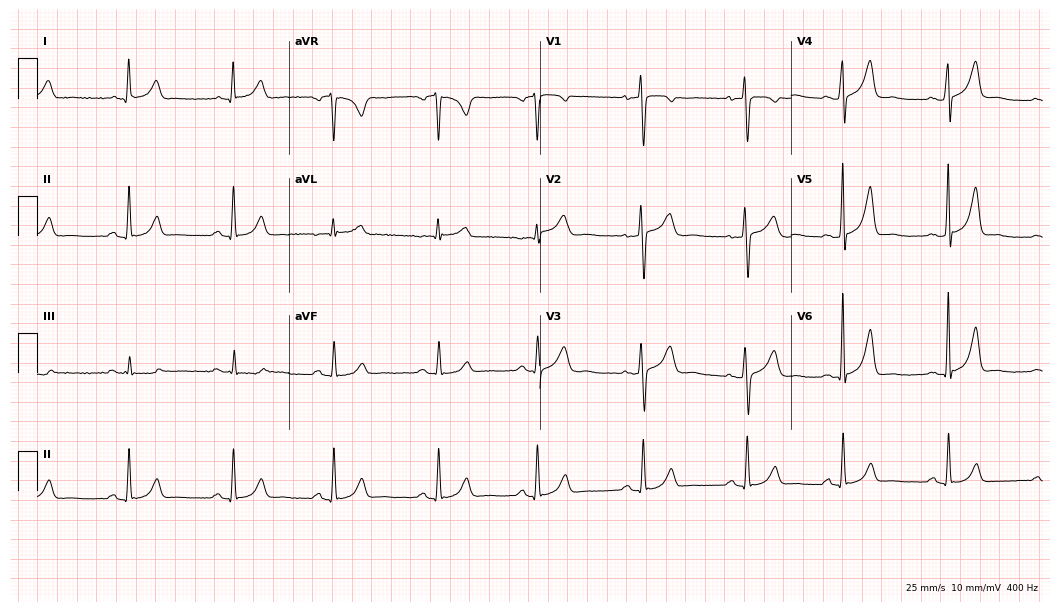
12-lead ECG from a woman, 49 years old (10.2-second recording at 400 Hz). No first-degree AV block, right bundle branch block, left bundle branch block, sinus bradycardia, atrial fibrillation or sinus tachycardia recorded for this tracing. Only these six findings were labelled.